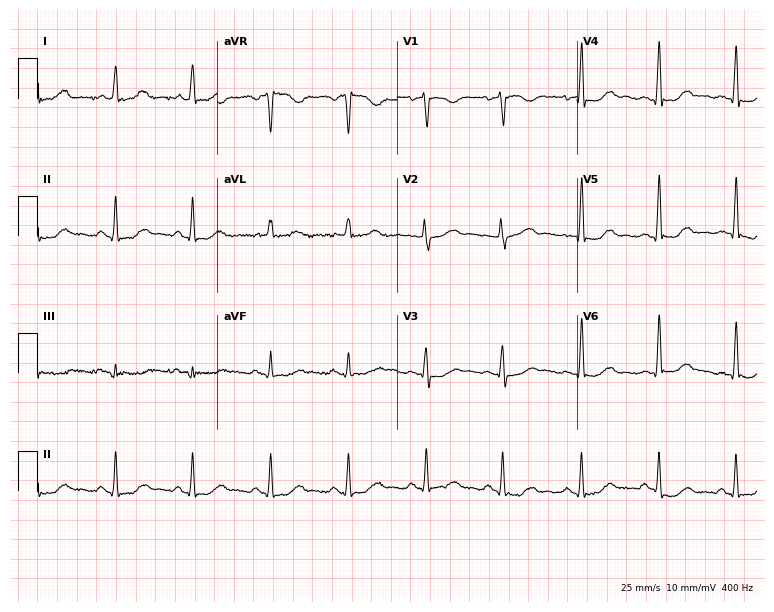
Electrocardiogram (7.3-second recording at 400 Hz), a 45-year-old woman. Of the six screened findings (first-degree AV block, right bundle branch block, left bundle branch block, sinus bradycardia, atrial fibrillation, sinus tachycardia), none is recorded. Findings outside these six are not listed.